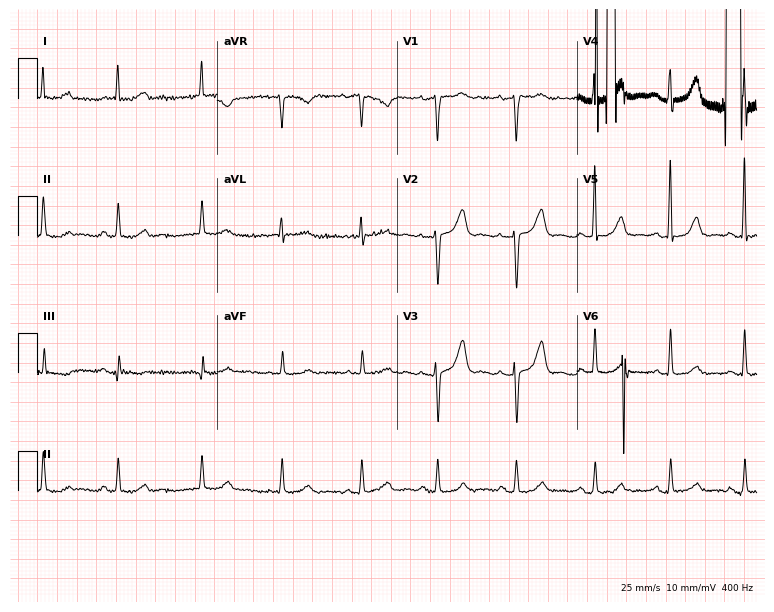
Resting 12-lead electrocardiogram. Patient: a 63-year-old female. None of these six findings is recorded: first-degree AV block, right bundle branch block (RBBB), left bundle branch block (LBBB), sinus bradycardia, atrial fibrillation (AF), sinus tachycardia. Only these six findings were labelled.